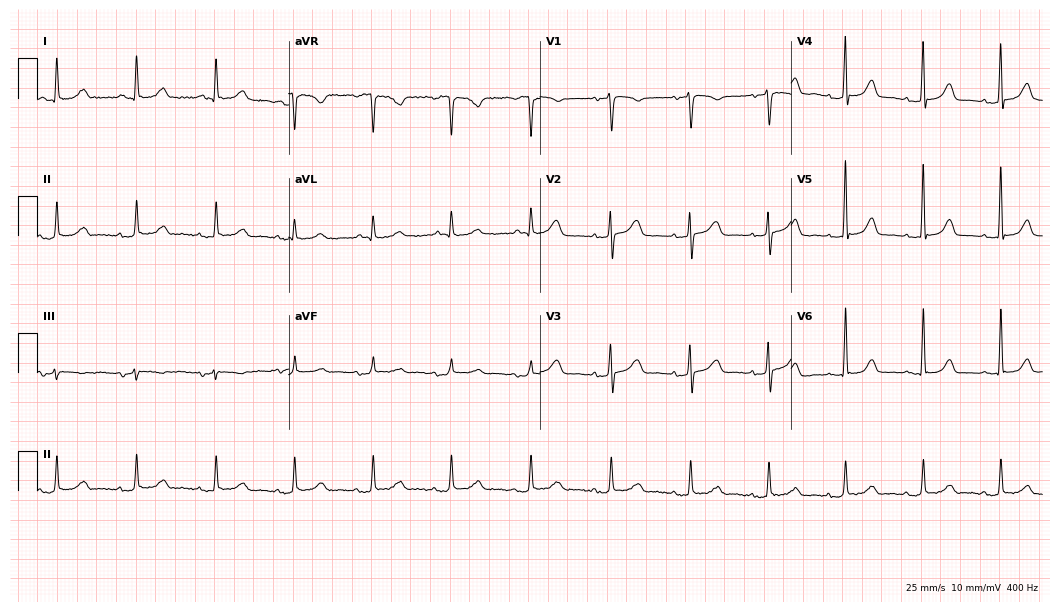
Electrocardiogram (10.2-second recording at 400 Hz), a woman, 66 years old. Overall reading on record: normal ECG.